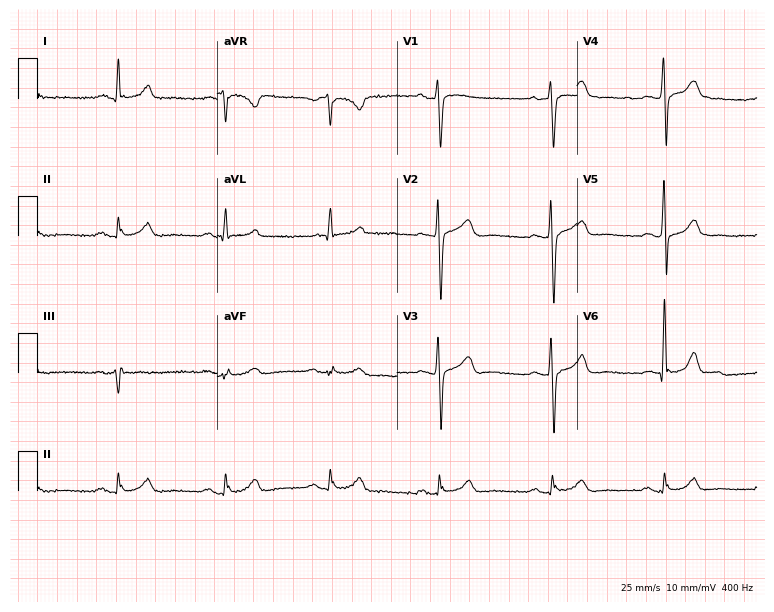
ECG (7.3-second recording at 400 Hz) — a 57-year-old male patient. Labelled as a normal ECG.